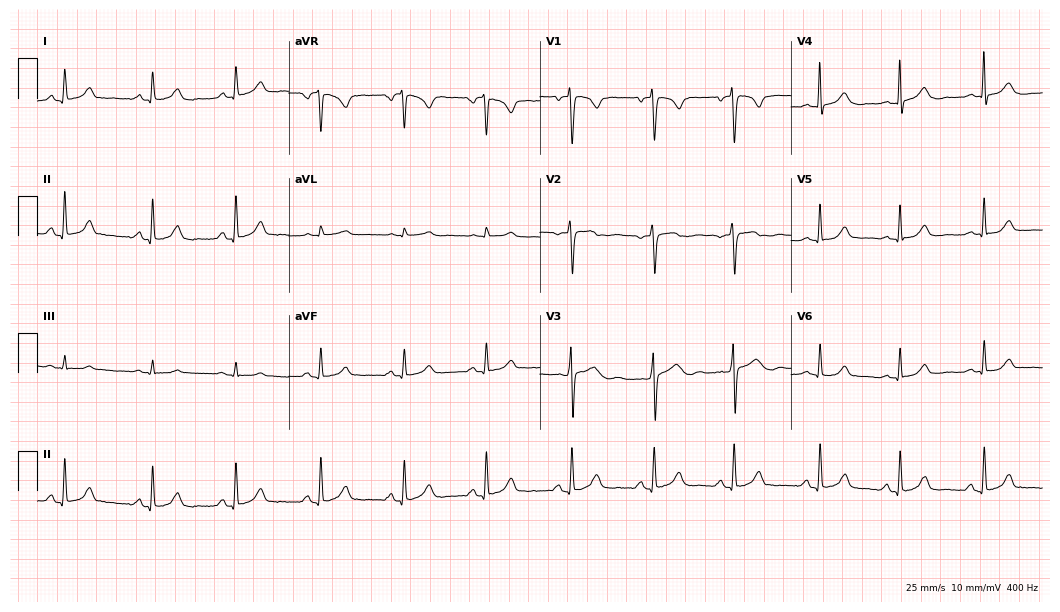
Standard 12-lead ECG recorded from a 39-year-old female (10.2-second recording at 400 Hz). Read as a normal ECG.